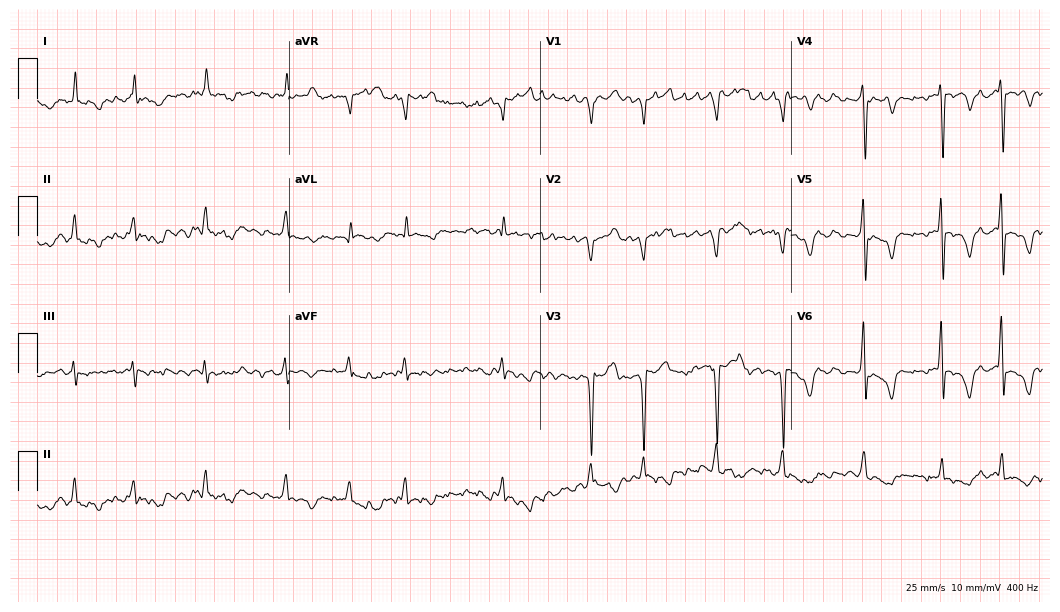
Resting 12-lead electrocardiogram (10.2-second recording at 400 Hz). Patient: a man, 53 years old. The tracing shows atrial fibrillation.